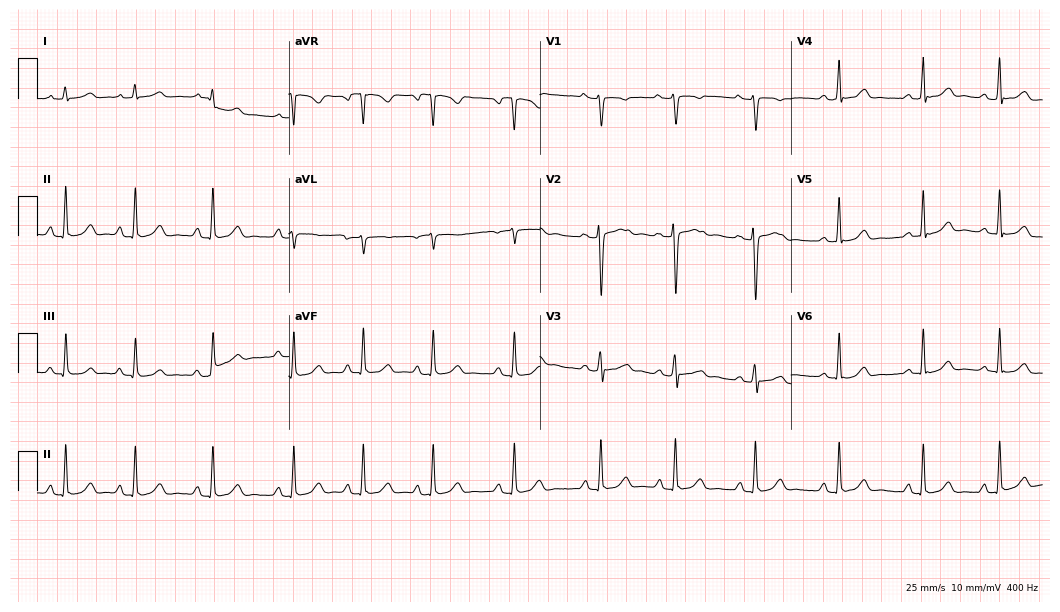
Resting 12-lead electrocardiogram (10.2-second recording at 400 Hz). Patient: a woman, 18 years old. Read as a normal ECG.